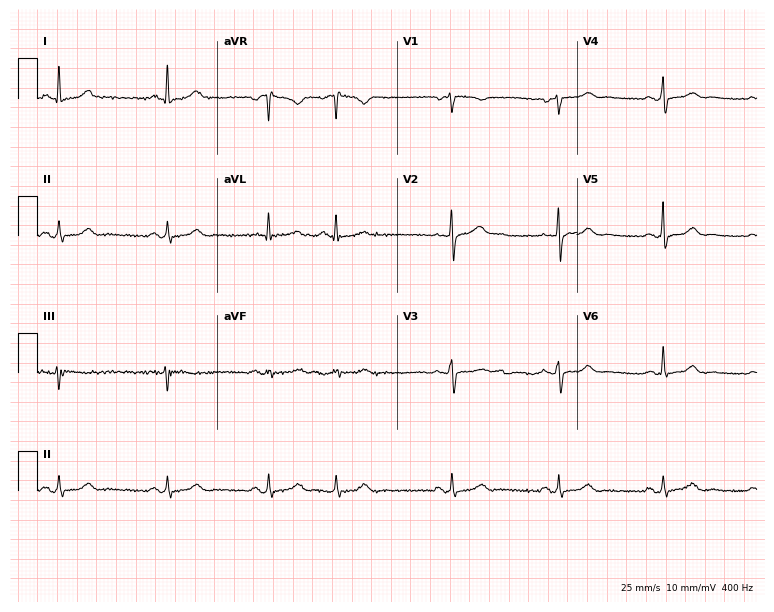
ECG (7.3-second recording at 400 Hz) — a female patient, 49 years old. Screened for six findings — first-degree AV block, right bundle branch block, left bundle branch block, sinus bradycardia, atrial fibrillation, sinus tachycardia — none is recorded.